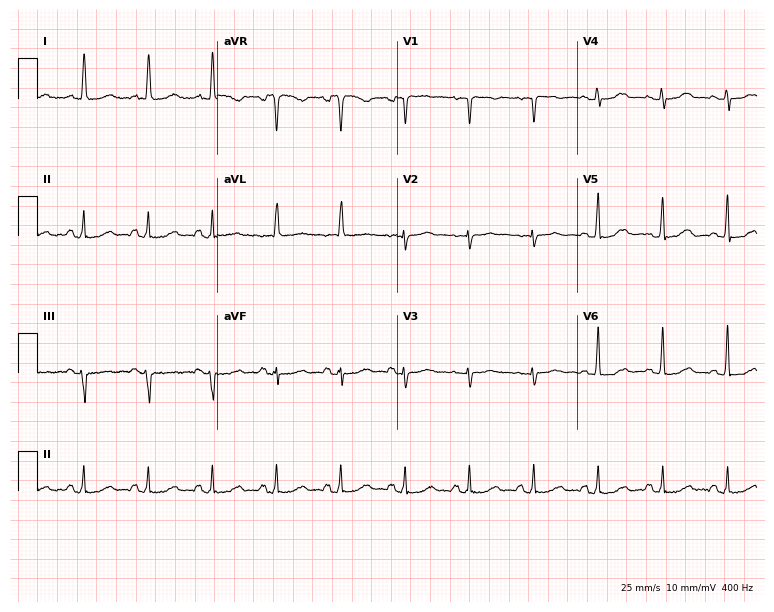
12-lead ECG (7.3-second recording at 400 Hz) from an 84-year-old female patient. Screened for six findings — first-degree AV block, right bundle branch block, left bundle branch block, sinus bradycardia, atrial fibrillation, sinus tachycardia — none is recorded.